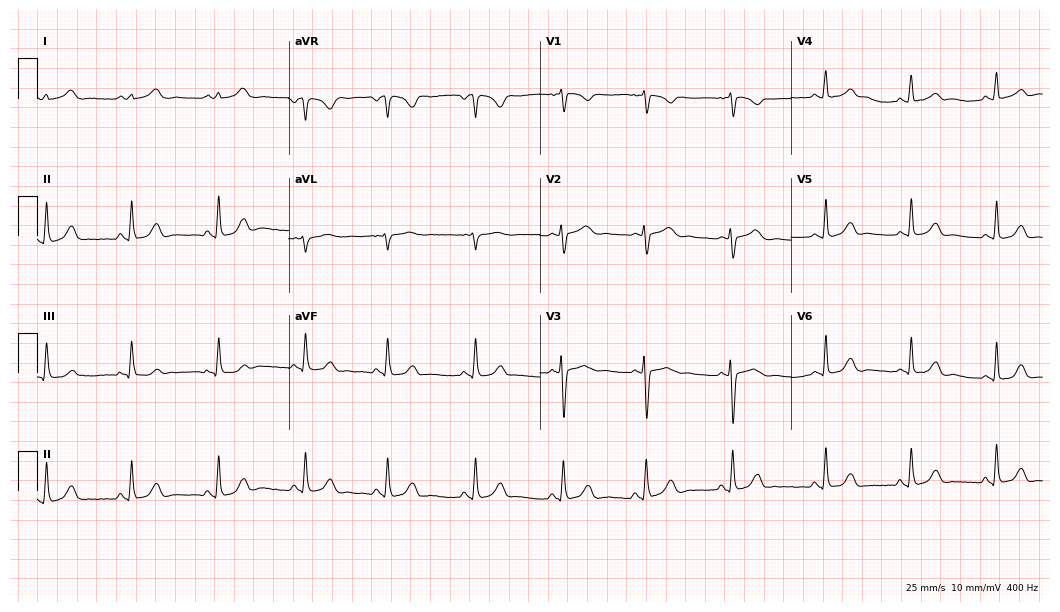
Standard 12-lead ECG recorded from a 21-year-old woman. Read as a normal ECG.